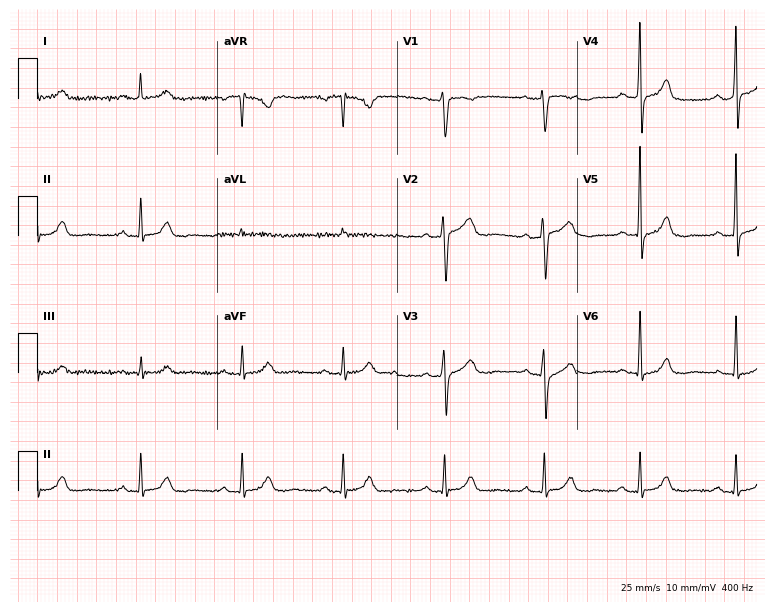
ECG (7.3-second recording at 400 Hz) — a 58-year-old female patient. Labelled as a normal ECG.